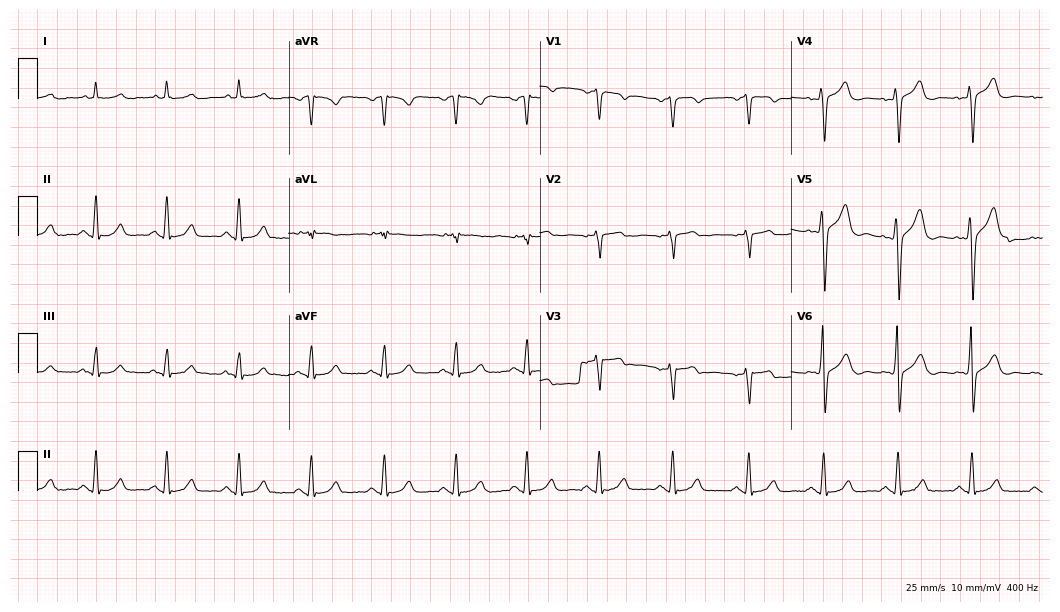
Standard 12-lead ECG recorded from a 59-year-old male. Read as a normal ECG.